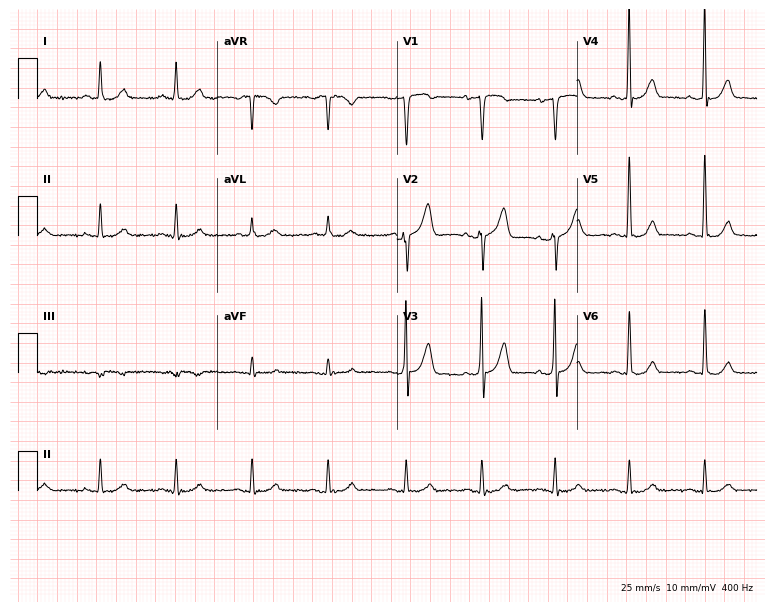
ECG — a male patient, 57 years old. Labelled as a normal ECG.